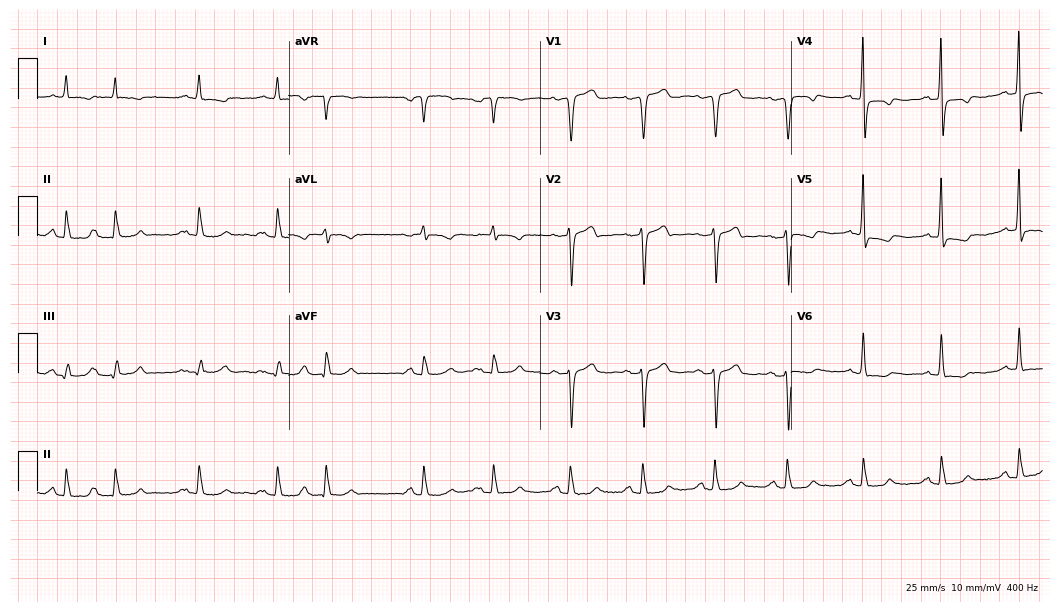
12-lead ECG (10.2-second recording at 400 Hz) from a male, 83 years old. Screened for six findings — first-degree AV block, right bundle branch block, left bundle branch block, sinus bradycardia, atrial fibrillation, sinus tachycardia — none is recorded. Findings outside these six are not listed.